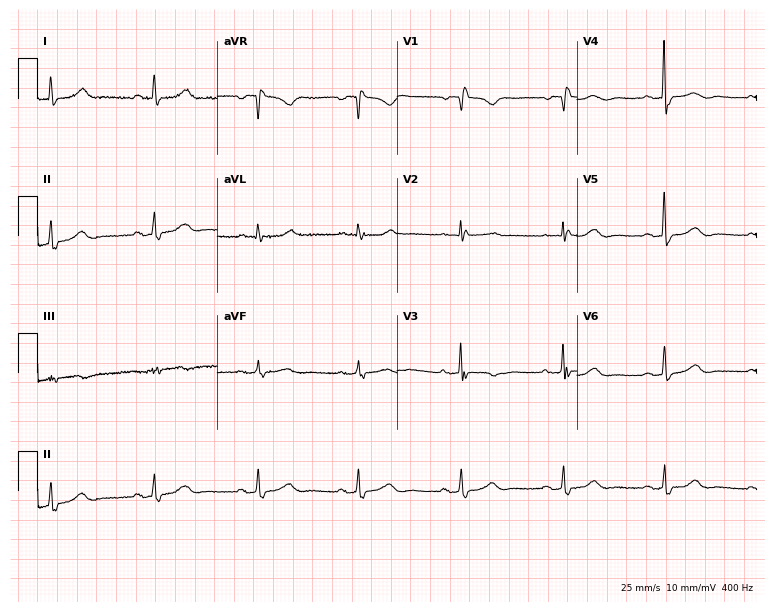
12-lead ECG from a female, 79 years old. No first-degree AV block, right bundle branch block (RBBB), left bundle branch block (LBBB), sinus bradycardia, atrial fibrillation (AF) or sinus tachycardia recorded for this tracing.